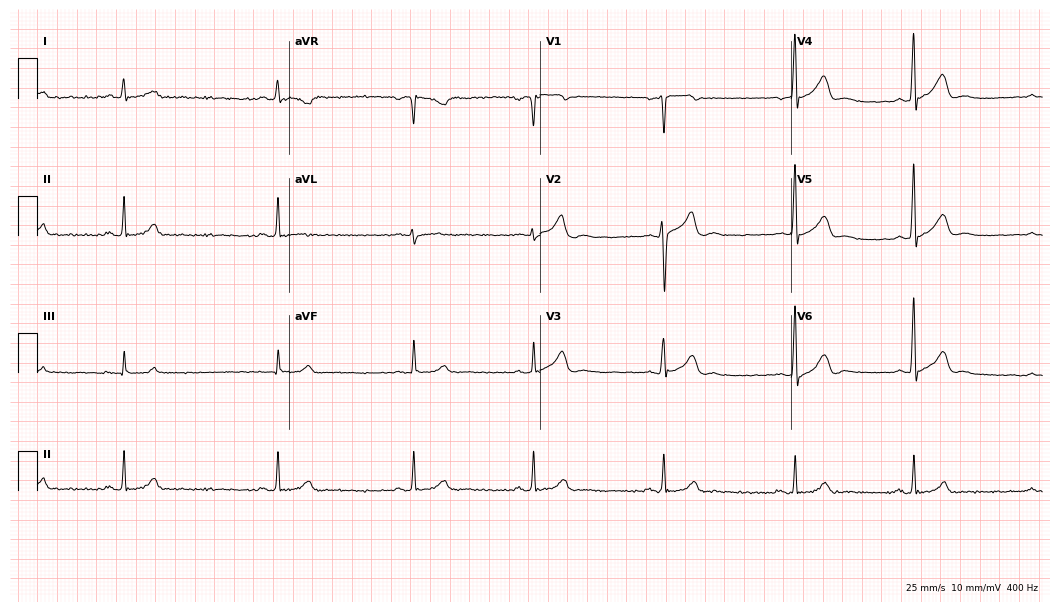
Resting 12-lead electrocardiogram (10.2-second recording at 400 Hz). Patient: a 40-year-old male. The tracing shows sinus bradycardia (a sinus rate of 50 beats per minute or less).